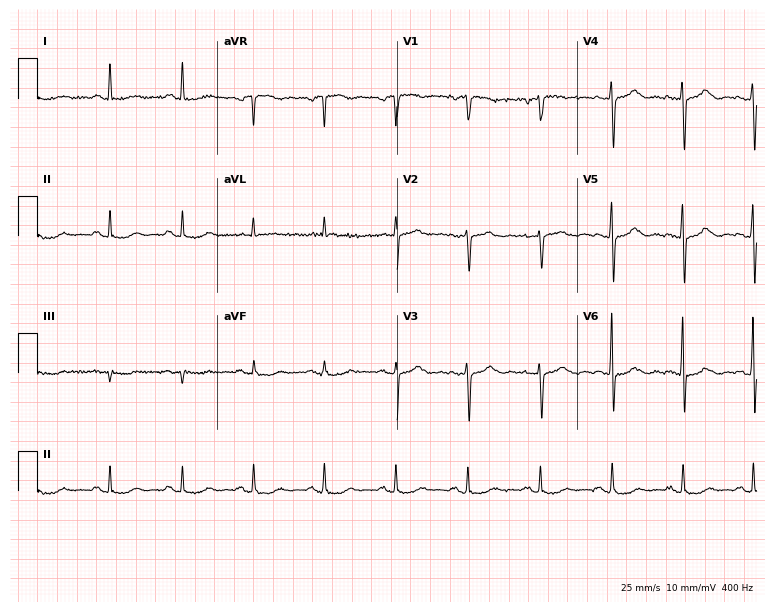
12-lead ECG from a woman, 75 years old. Labelled as a normal ECG.